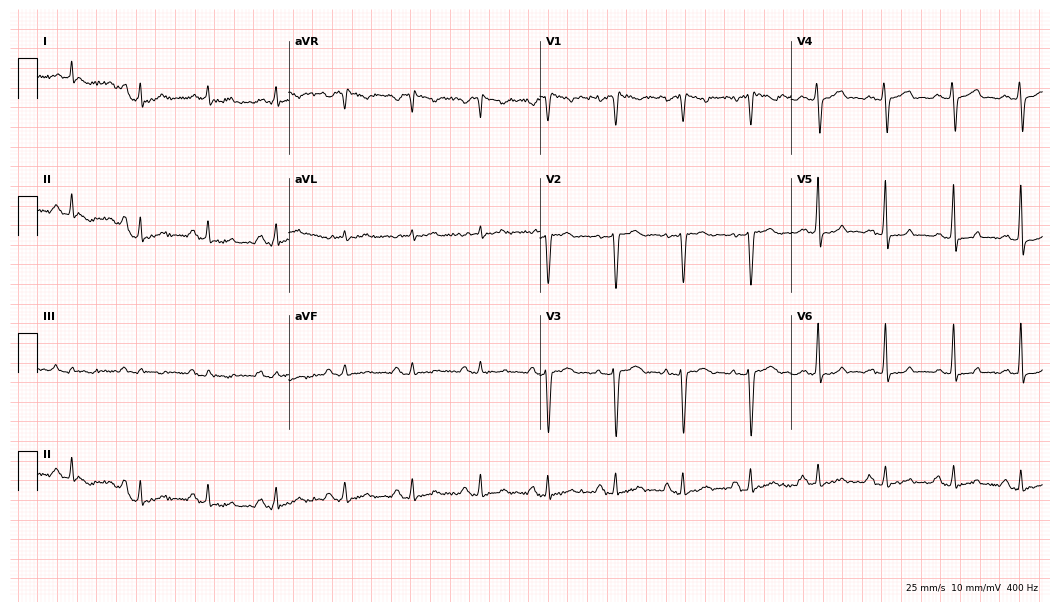
Resting 12-lead electrocardiogram (10.2-second recording at 400 Hz). Patient: a 52-year-old male. None of these six findings is recorded: first-degree AV block, right bundle branch block, left bundle branch block, sinus bradycardia, atrial fibrillation, sinus tachycardia.